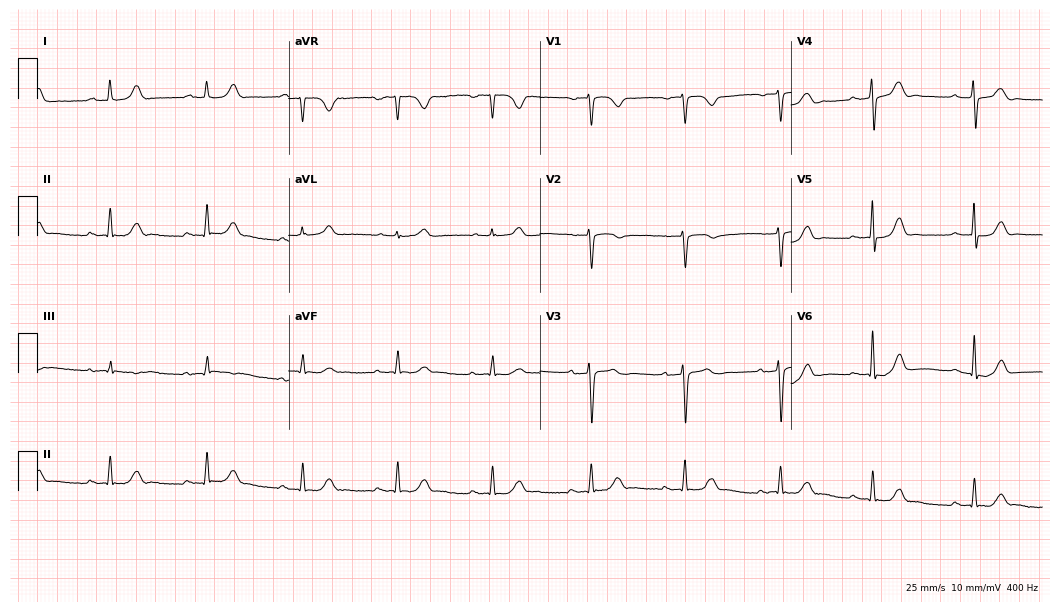
ECG (10.2-second recording at 400 Hz) — a 72-year-old woman. Findings include first-degree AV block.